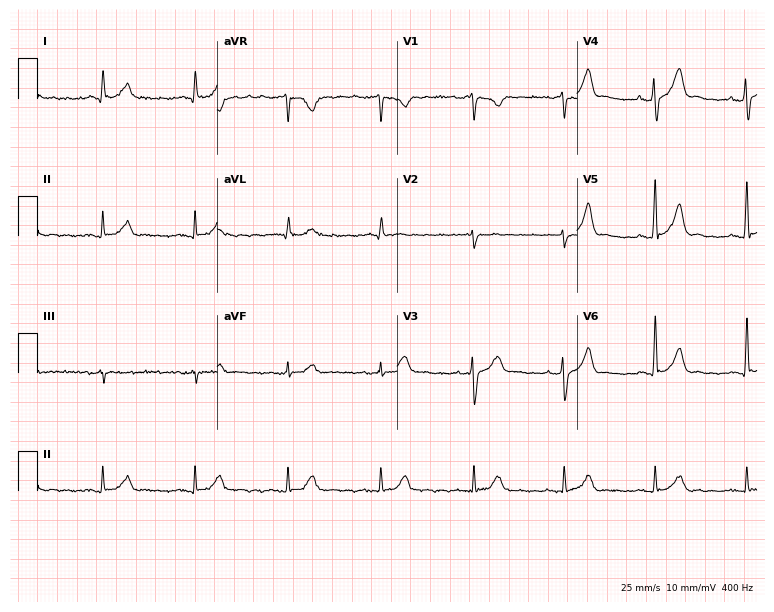
Standard 12-lead ECG recorded from a man, 64 years old. None of these six findings is recorded: first-degree AV block, right bundle branch block, left bundle branch block, sinus bradycardia, atrial fibrillation, sinus tachycardia. Only these six findings were labelled.